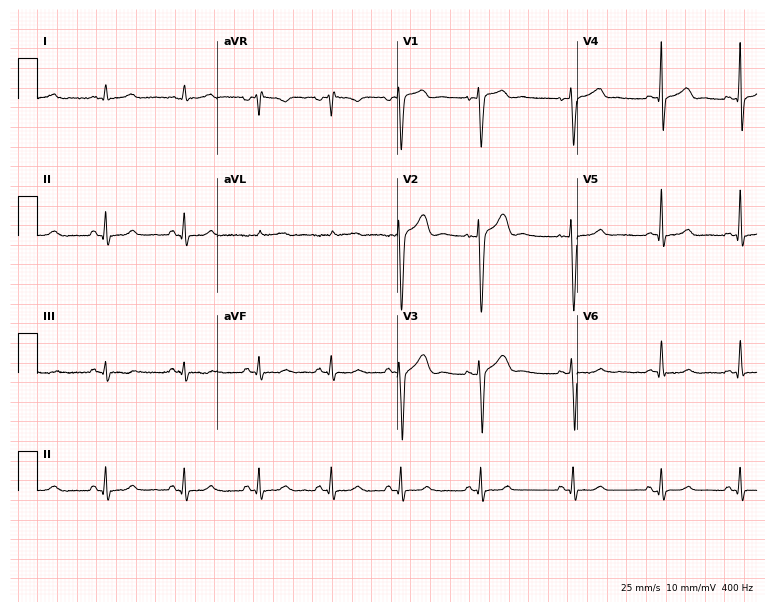
ECG (7.3-second recording at 400 Hz) — a 23-year-old male patient. Screened for six findings — first-degree AV block, right bundle branch block, left bundle branch block, sinus bradycardia, atrial fibrillation, sinus tachycardia — none is recorded.